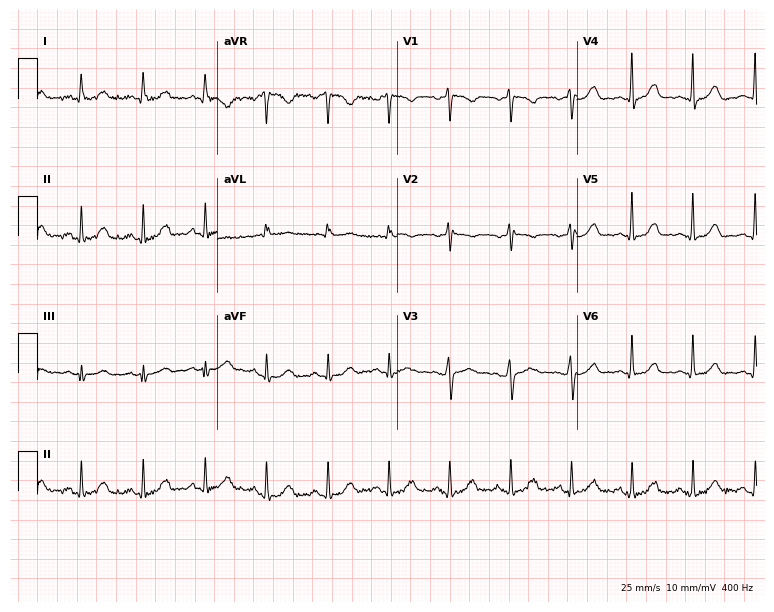
12-lead ECG from a female patient, 49 years old. Labelled as a normal ECG.